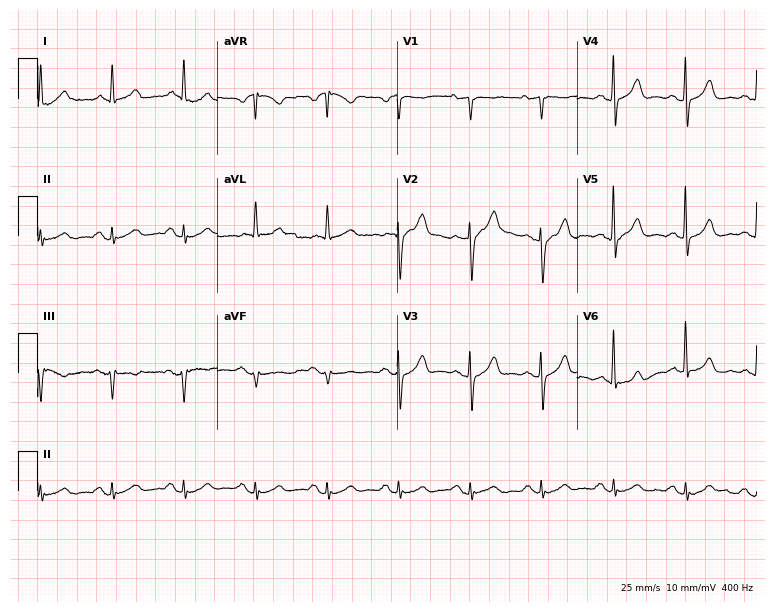
Resting 12-lead electrocardiogram. Patient: an 81-year-old male. Read as a normal ECG.